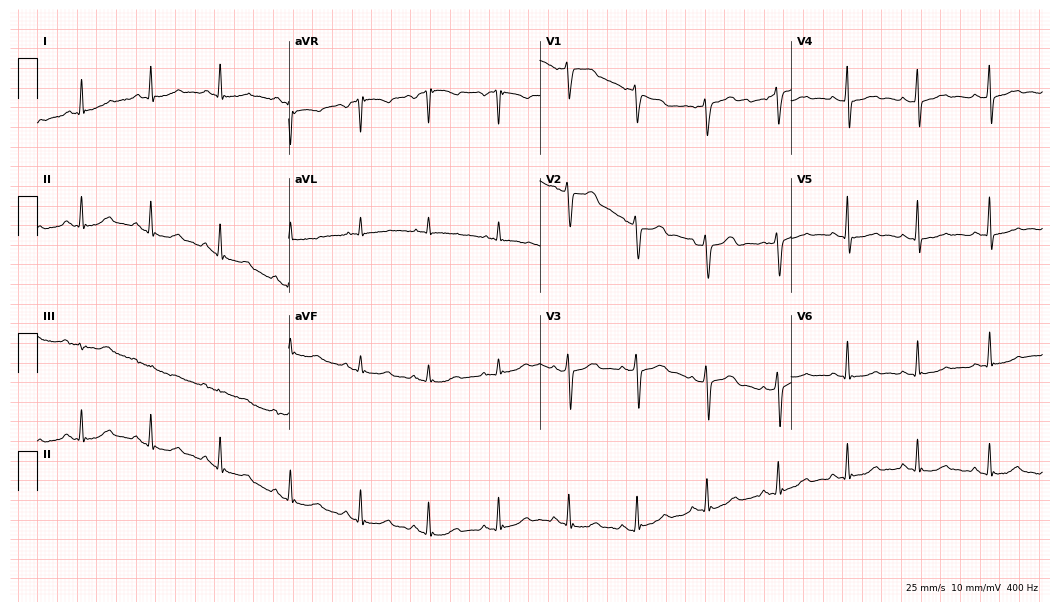
Standard 12-lead ECG recorded from a female, 54 years old. None of these six findings is recorded: first-degree AV block, right bundle branch block, left bundle branch block, sinus bradycardia, atrial fibrillation, sinus tachycardia.